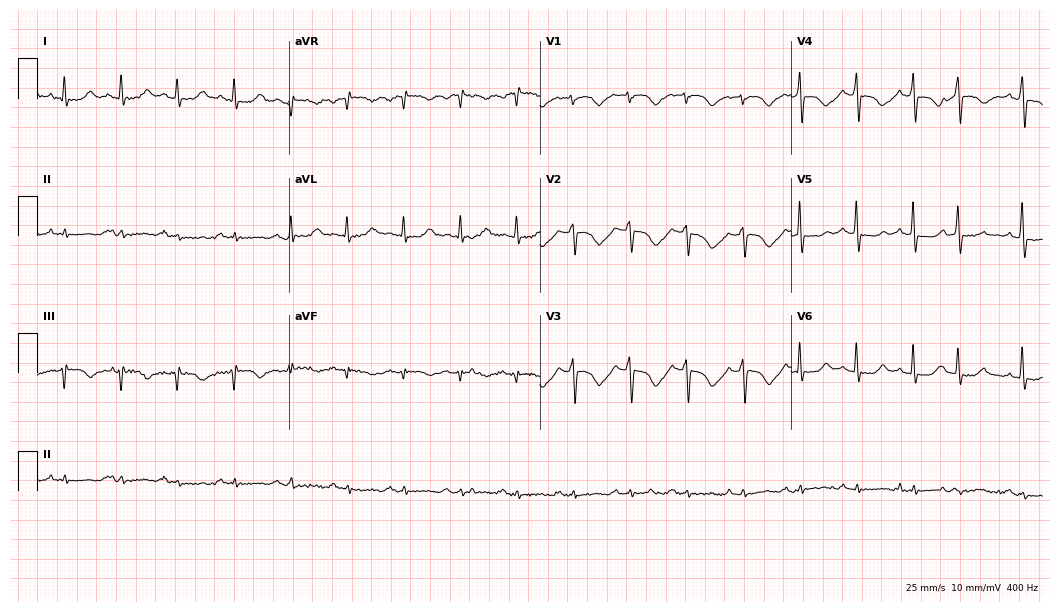
Resting 12-lead electrocardiogram (10.2-second recording at 400 Hz). Patient: an 82-year-old woman. The tracing shows atrial fibrillation, sinus tachycardia (a sinus rate of 100 beats per minute or more).